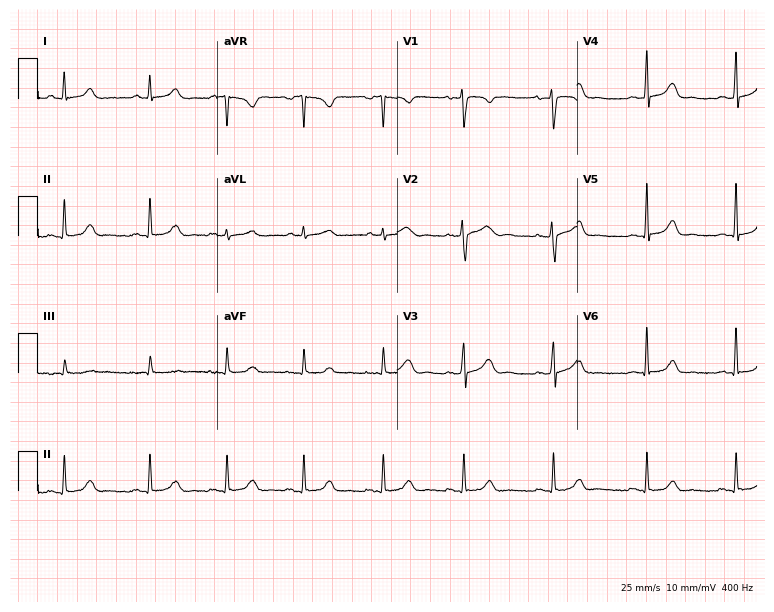
12-lead ECG from a 36-year-old female patient. Recorded interpretation: within normal limits.